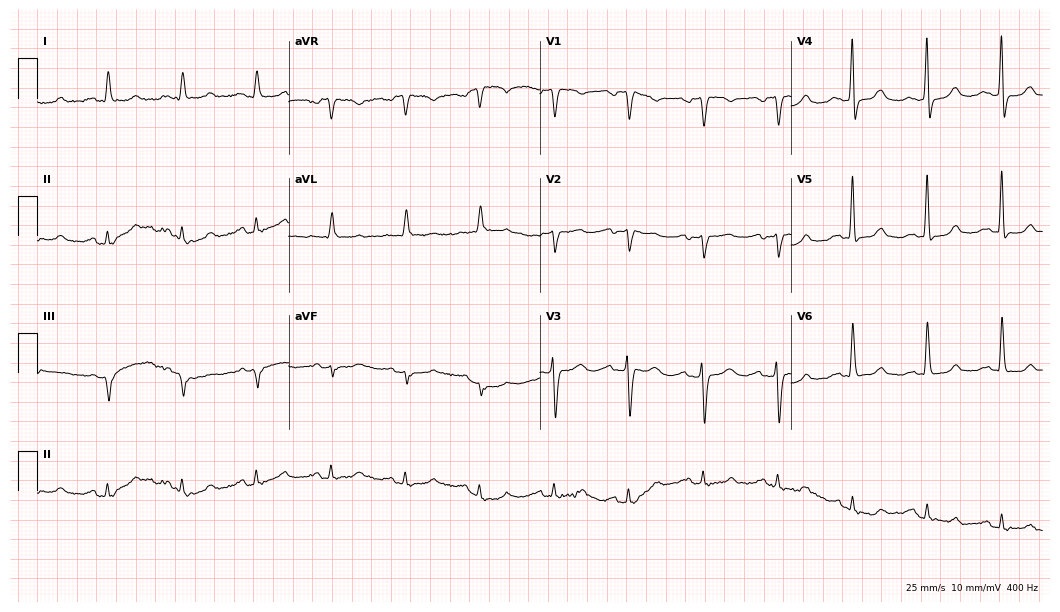
ECG — an 82-year-old female patient. Screened for six findings — first-degree AV block, right bundle branch block, left bundle branch block, sinus bradycardia, atrial fibrillation, sinus tachycardia — none is recorded.